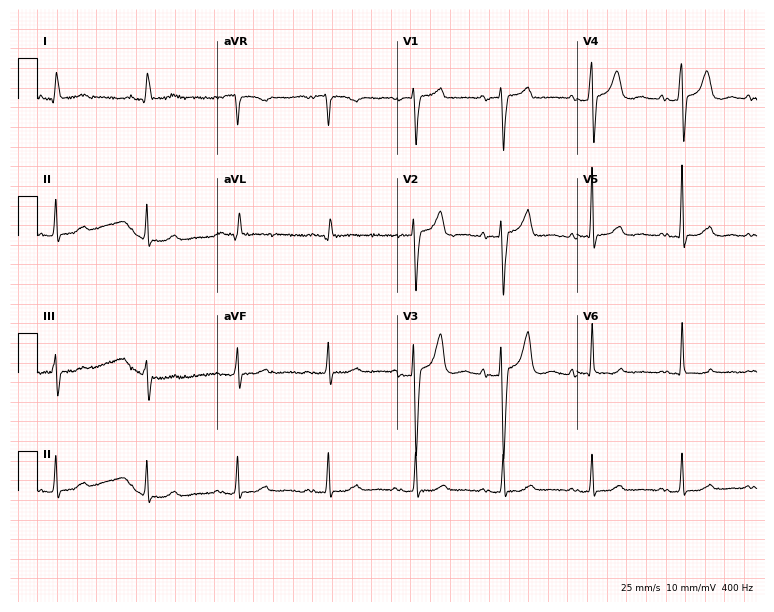
Standard 12-lead ECG recorded from an 82-year-old woman. Read as a normal ECG.